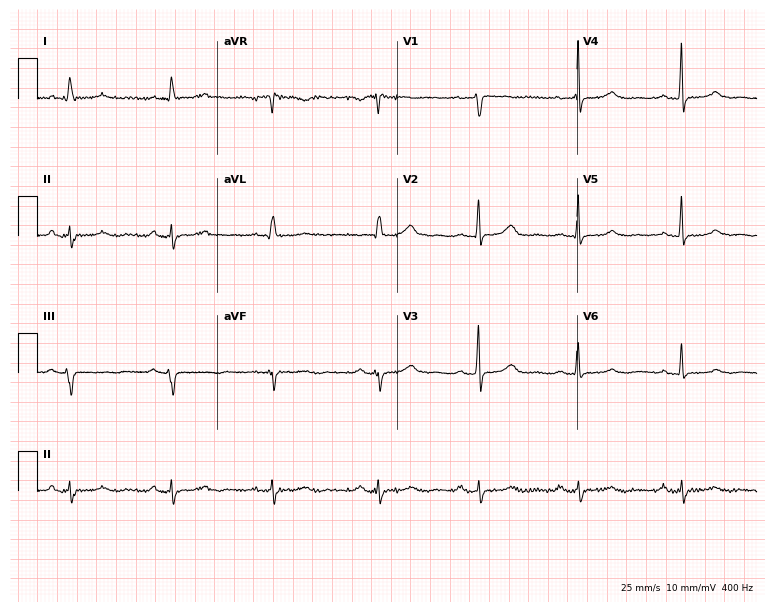
Resting 12-lead electrocardiogram. Patient: a 56-year-old woman. Read as a normal ECG.